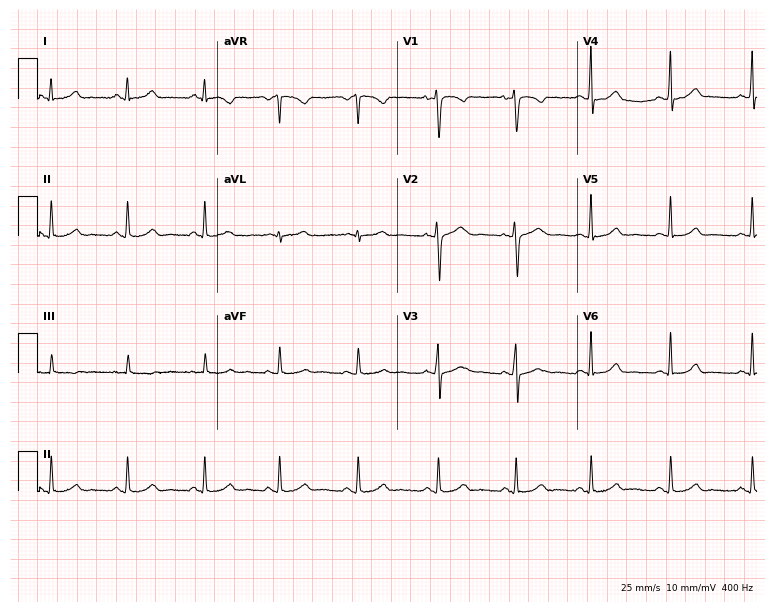
12-lead ECG from a female, 34 years old. Labelled as a normal ECG.